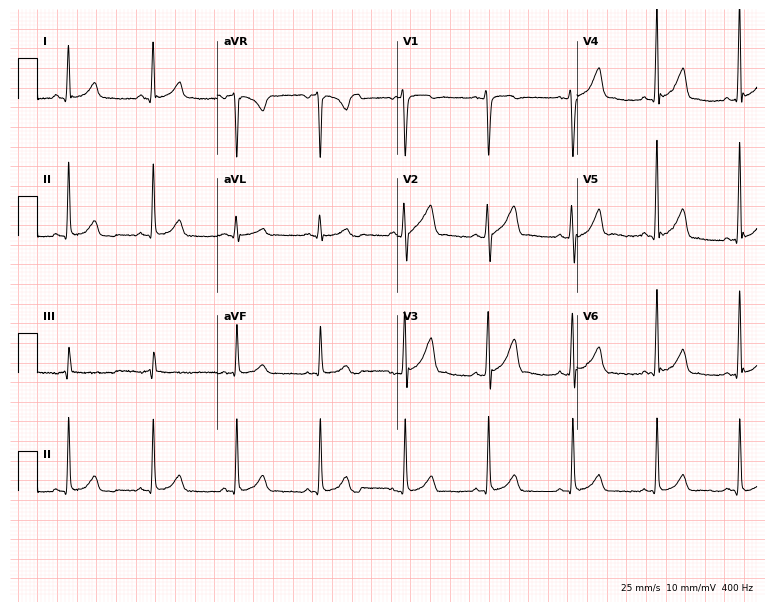
Electrocardiogram, a male patient, 39 years old. Of the six screened findings (first-degree AV block, right bundle branch block, left bundle branch block, sinus bradycardia, atrial fibrillation, sinus tachycardia), none is recorded.